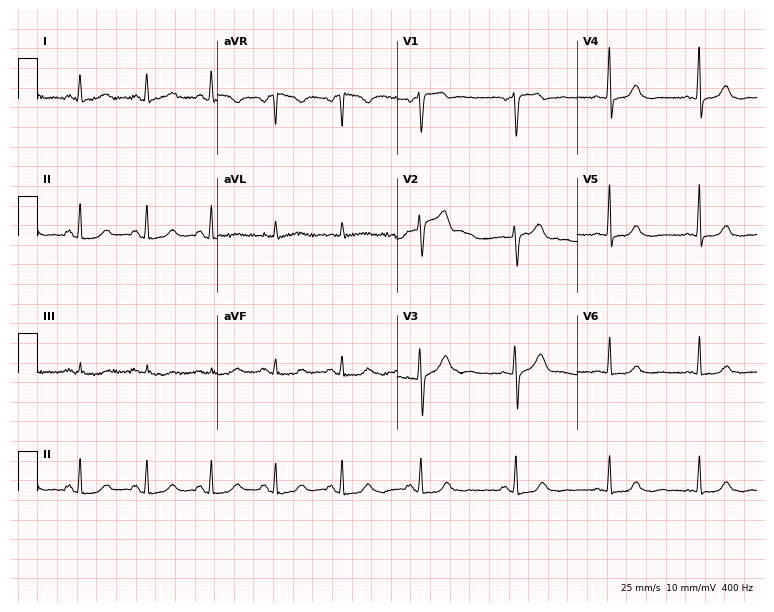
Resting 12-lead electrocardiogram (7.3-second recording at 400 Hz). Patient: a female, 62 years old. None of these six findings is recorded: first-degree AV block, right bundle branch block, left bundle branch block, sinus bradycardia, atrial fibrillation, sinus tachycardia.